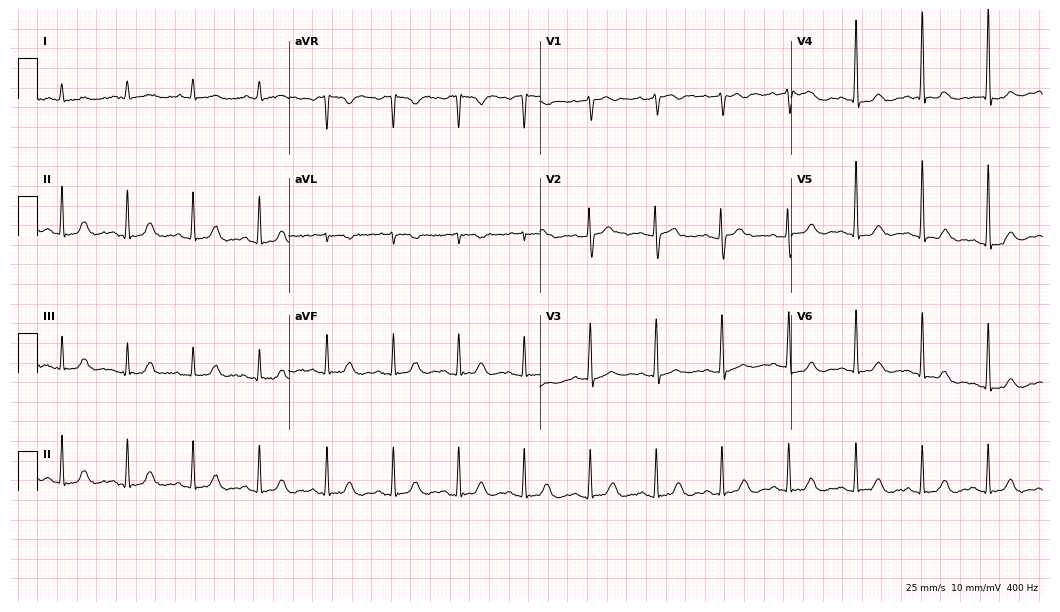
Standard 12-lead ECG recorded from an 80-year-old female. Read as a normal ECG.